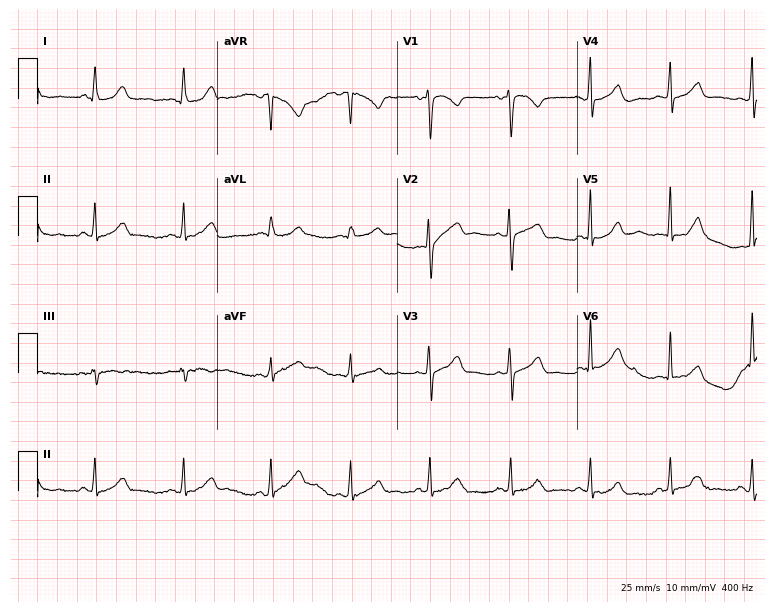
Resting 12-lead electrocardiogram. Patient: a female, 38 years old. None of these six findings is recorded: first-degree AV block, right bundle branch block, left bundle branch block, sinus bradycardia, atrial fibrillation, sinus tachycardia.